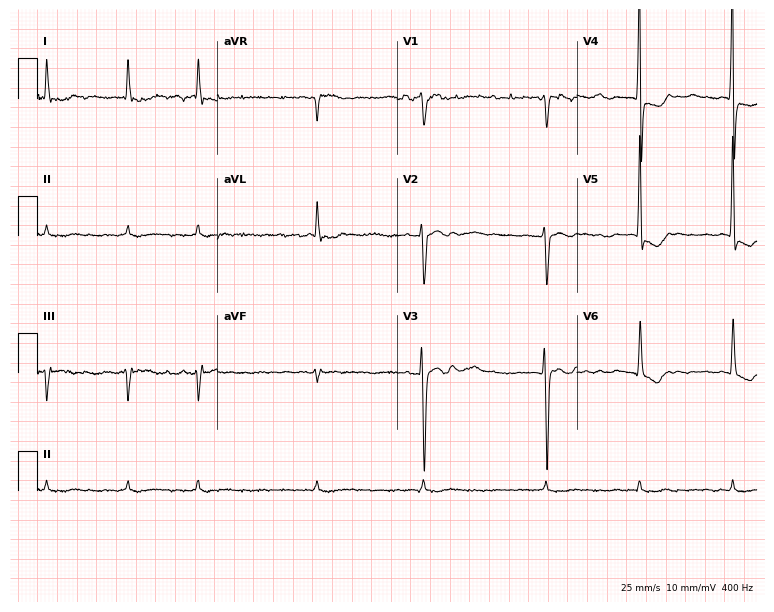
12-lead ECG from an 83-year-old female patient. Findings include atrial fibrillation.